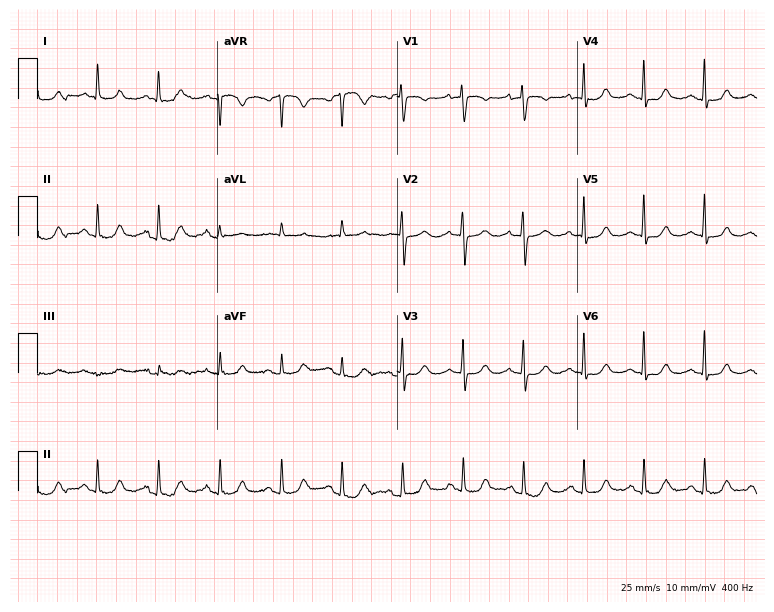
Standard 12-lead ECG recorded from a 67-year-old female patient (7.3-second recording at 400 Hz). None of these six findings is recorded: first-degree AV block, right bundle branch block, left bundle branch block, sinus bradycardia, atrial fibrillation, sinus tachycardia.